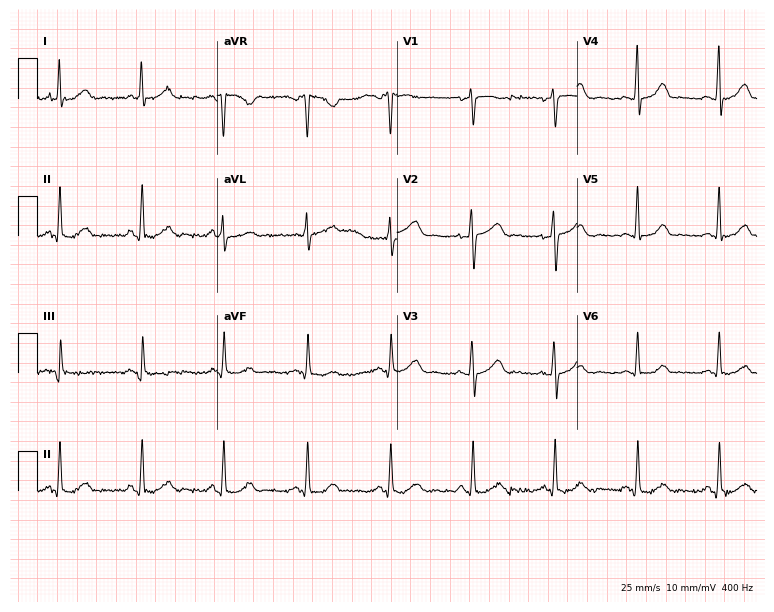
Electrocardiogram, a 43-year-old female patient. Of the six screened findings (first-degree AV block, right bundle branch block (RBBB), left bundle branch block (LBBB), sinus bradycardia, atrial fibrillation (AF), sinus tachycardia), none is recorded.